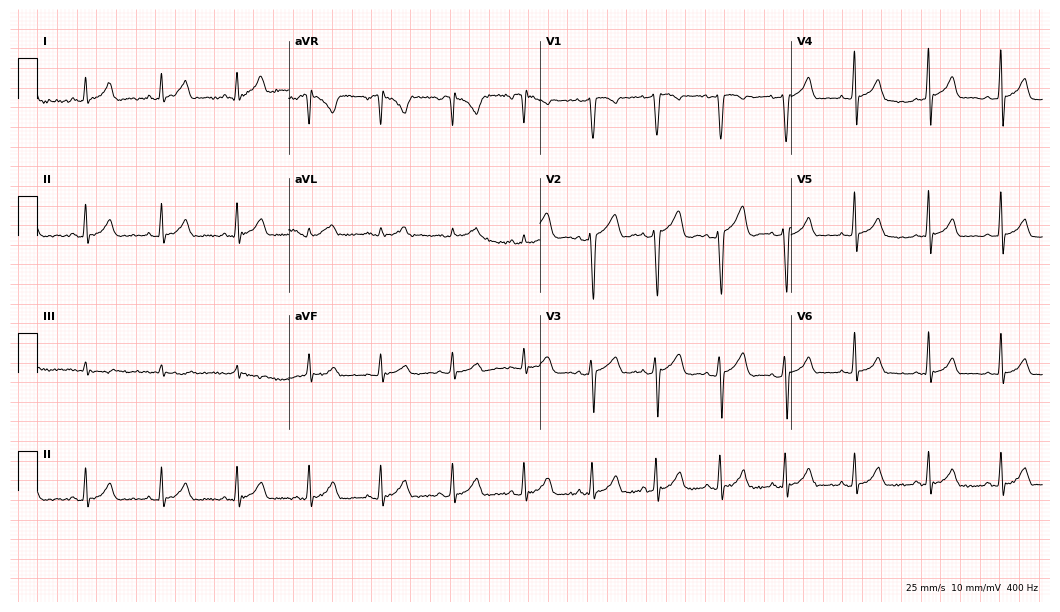
12-lead ECG from a female patient, 24 years old (10.2-second recording at 400 Hz). Recorded interpretation: within normal limits.